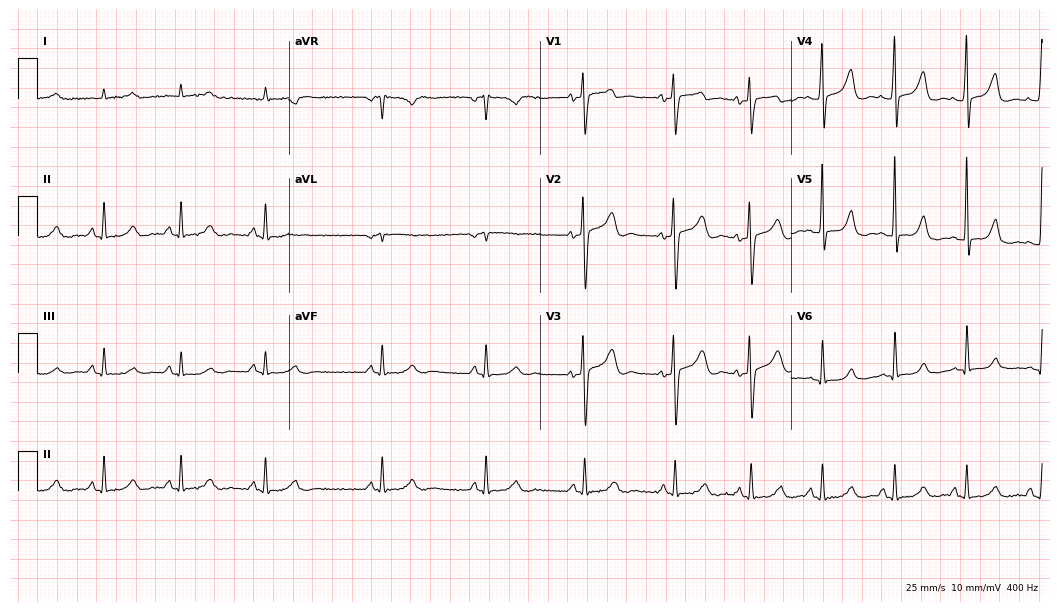
12-lead ECG from a male, 69 years old (10.2-second recording at 400 Hz). No first-degree AV block, right bundle branch block, left bundle branch block, sinus bradycardia, atrial fibrillation or sinus tachycardia recorded for this tracing.